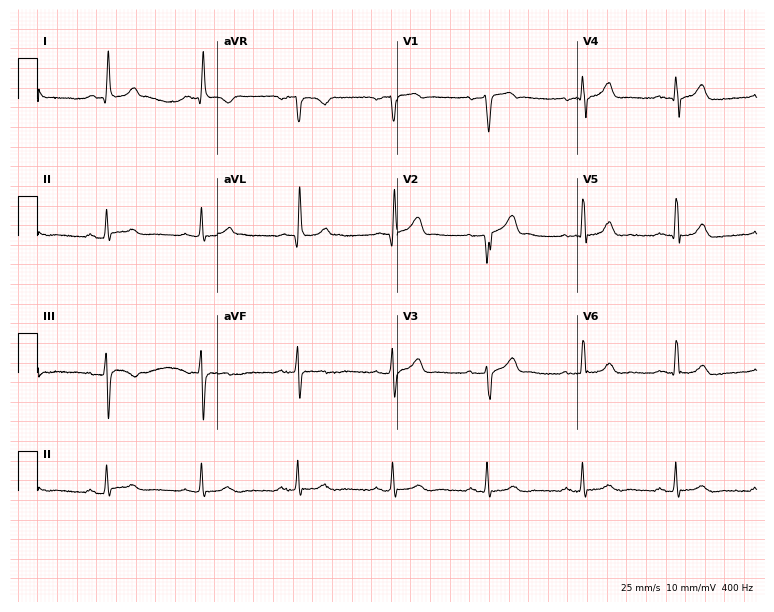
Standard 12-lead ECG recorded from a 60-year-old man (7.3-second recording at 400 Hz). Read as a normal ECG.